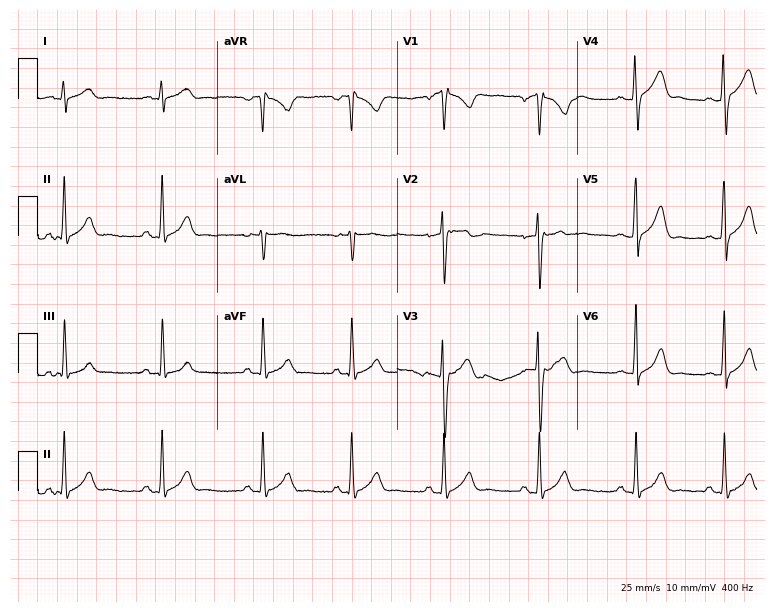
Resting 12-lead electrocardiogram (7.3-second recording at 400 Hz). Patient: a 25-year-old male. None of these six findings is recorded: first-degree AV block, right bundle branch block, left bundle branch block, sinus bradycardia, atrial fibrillation, sinus tachycardia.